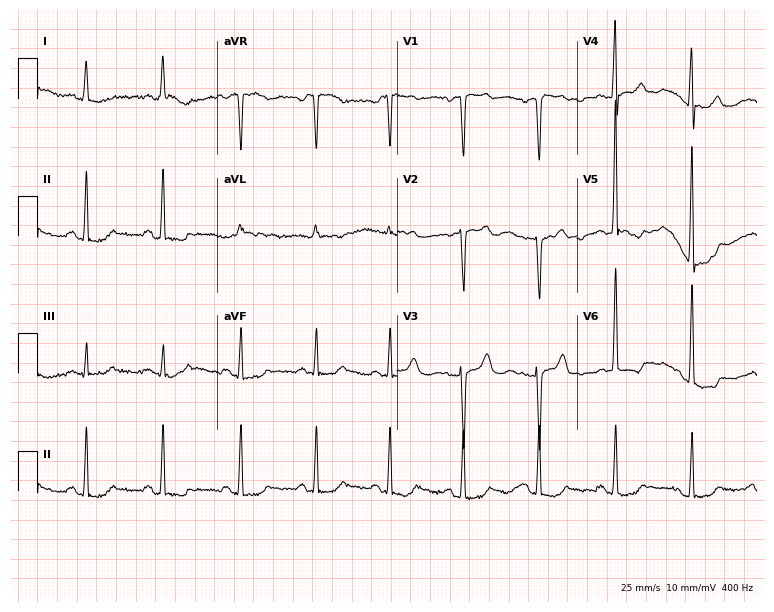
ECG (7.3-second recording at 400 Hz) — a female, 79 years old. Screened for six findings — first-degree AV block, right bundle branch block, left bundle branch block, sinus bradycardia, atrial fibrillation, sinus tachycardia — none is recorded. Findings outside these six are not listed.